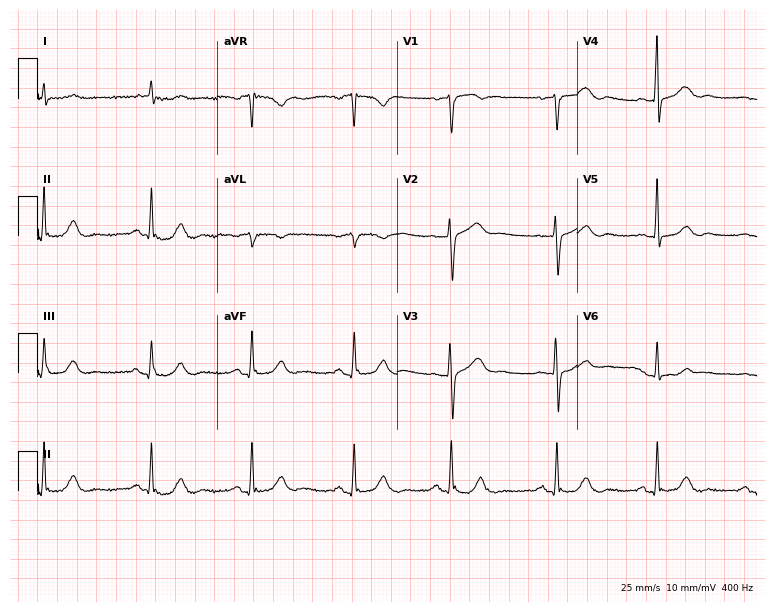
Standard 12-lead ECG recorded from a man, 77 years old (7.3-second recording at 400 Hz). Read as a normal ECG.